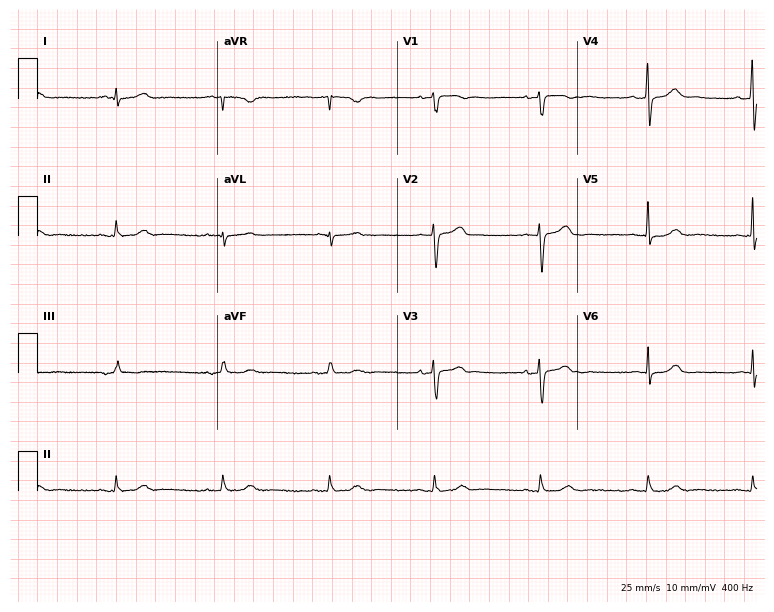
12-lead ECG (7.3-second recording at 400 Hz) from a man, 44 years old. Labelled as a normal ECG.